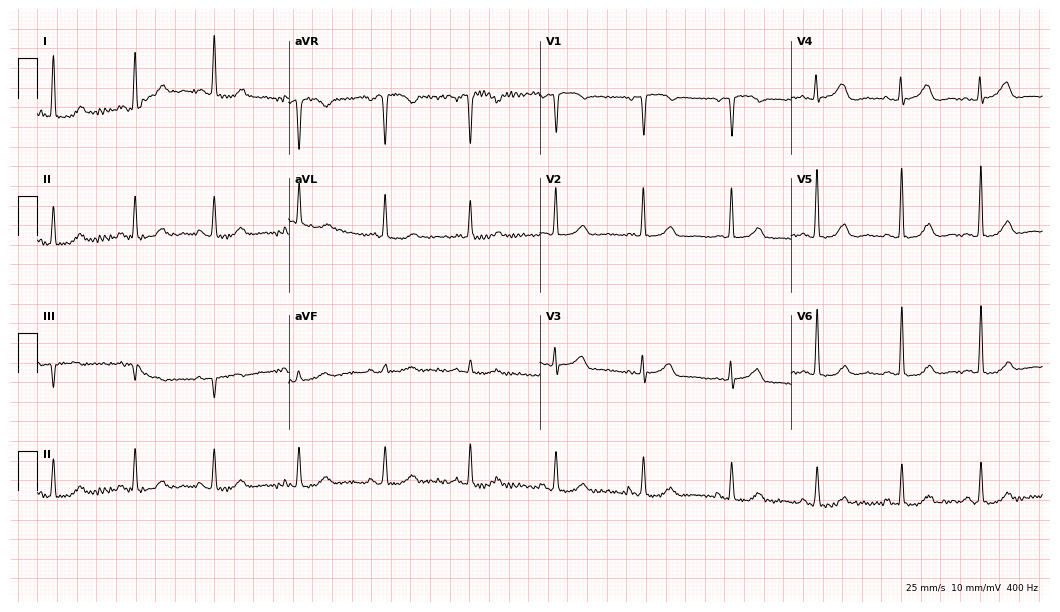
Standard 12-lead ECG recorded from an 81-year-old woman. Read as a normal ECG.